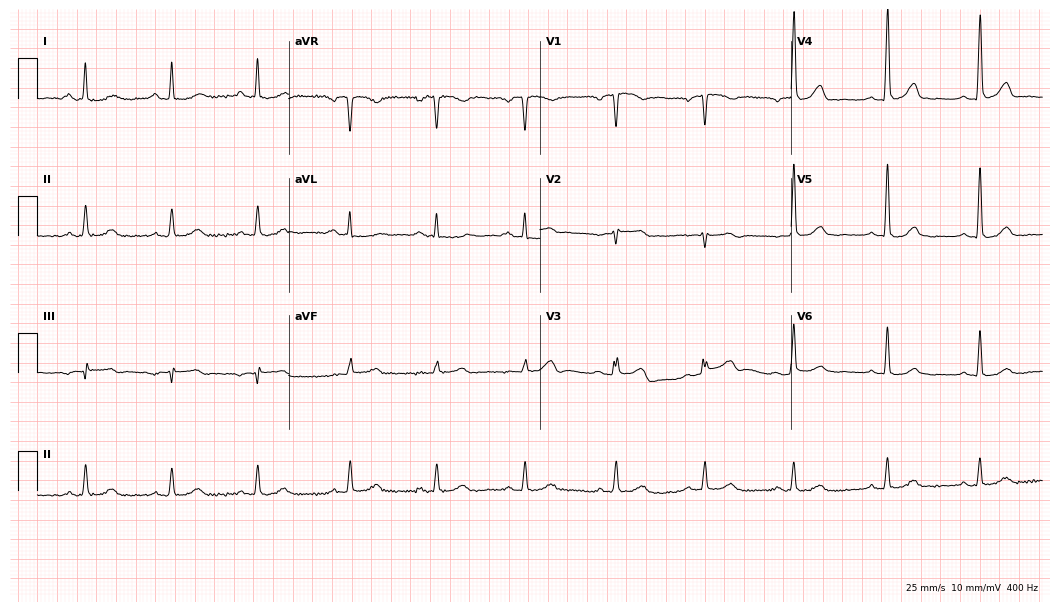
12-lead ECG from a 77-year-old female (10.2-second recording at 400 Hz). Recorded interpretation: within normal limits.